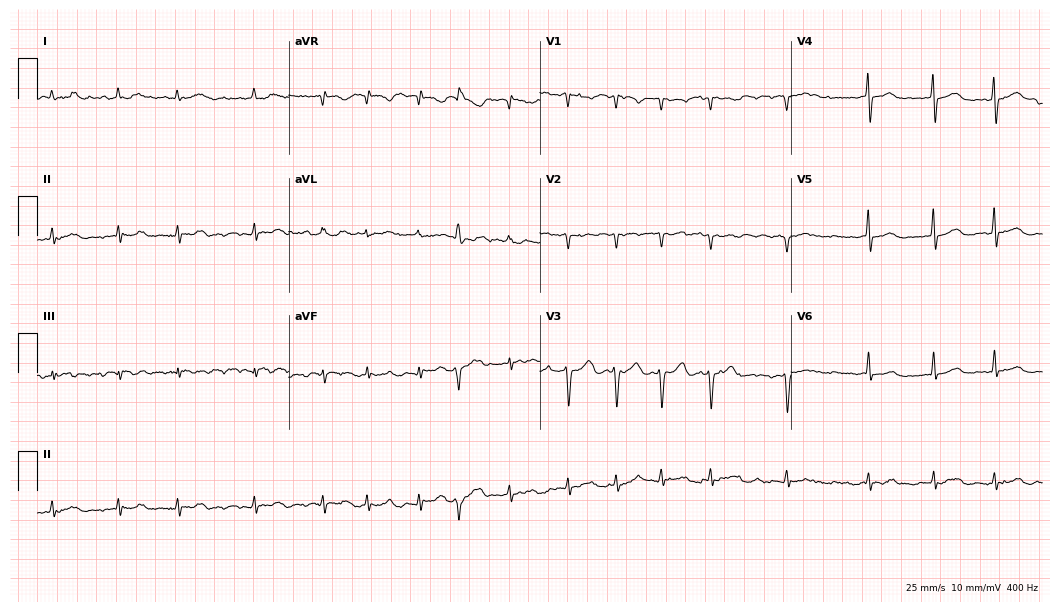
12-lead ECG from a female, 66 years old (10.2-second recording at 400 Hz). Shows atrial fibrillation.